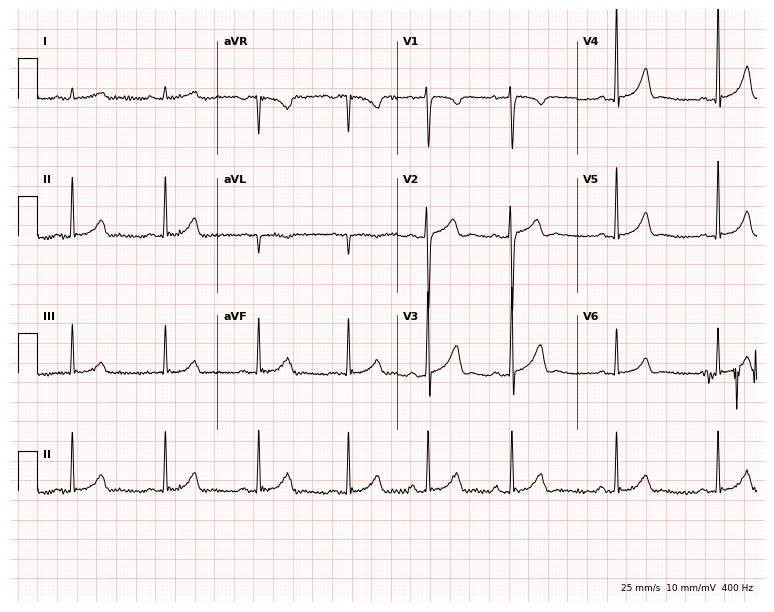
ECG (7.3-second recording at 400 Hz) — a man, 21 years old. Labelled as a normal ECG.